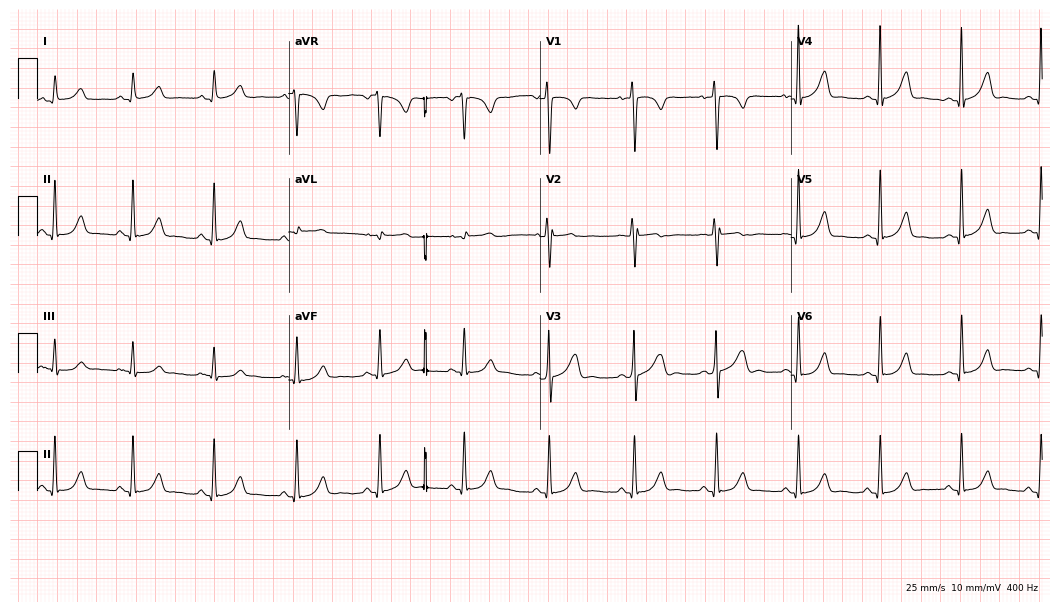
ECG — a 76-year-old female patient. Labelled as a normal ECG.